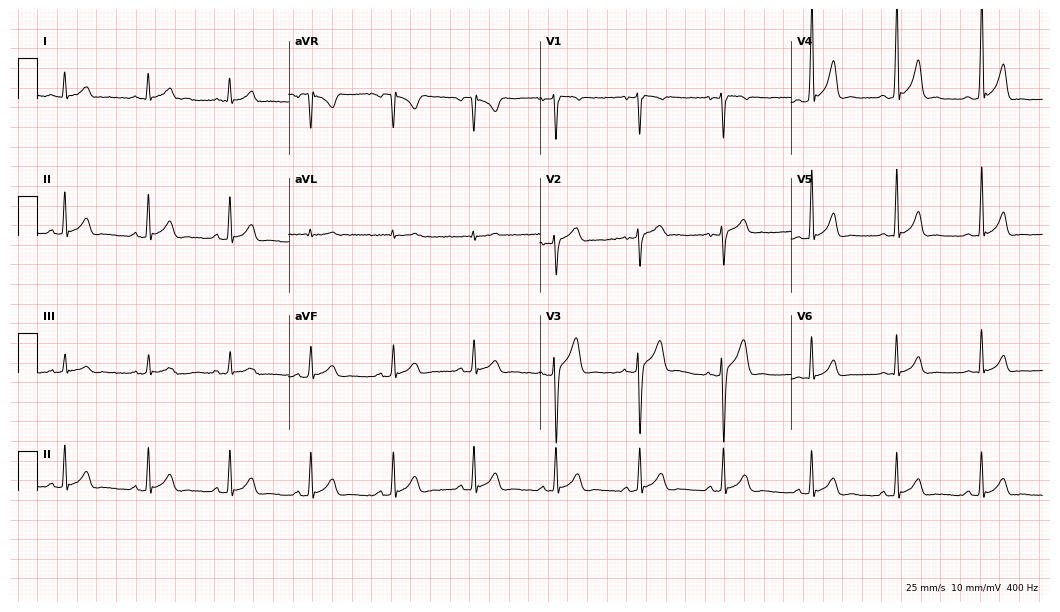
12-lead ECG from a male patient, 23 years old (10.2-second recording at 400 Hz). Recorded interpretation: within normal limits.